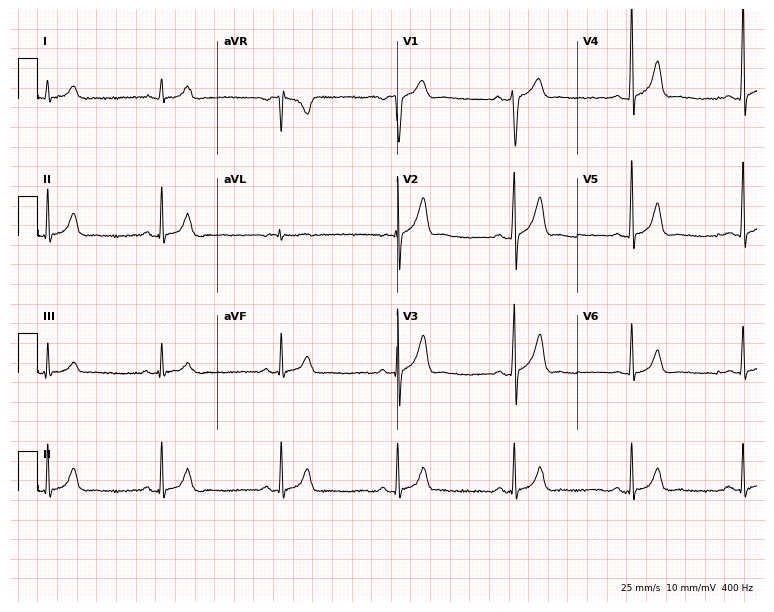
Electrocardiogram, a male, 19 years old. Overall reading on record: normal ECG.